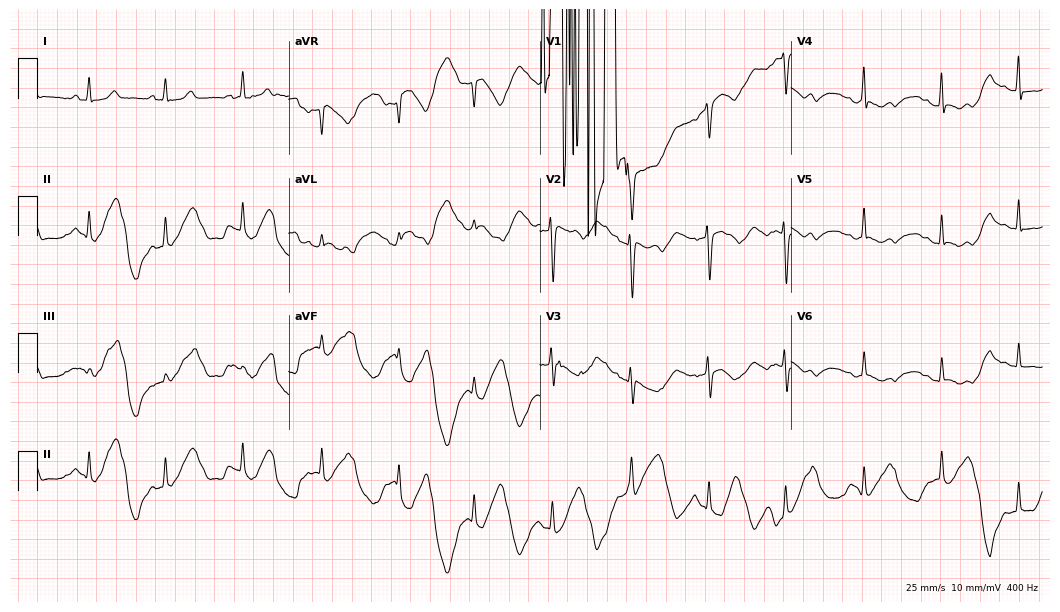
12-lead ECG from a 25-year-old female. Screened for six findings — first-degree AV block, right bundle branch block (RBBB), left bundle branch block (LBBB), sinus bradycardia, atrial fibrillation (AF), sinus tachycardia — none is recorded.